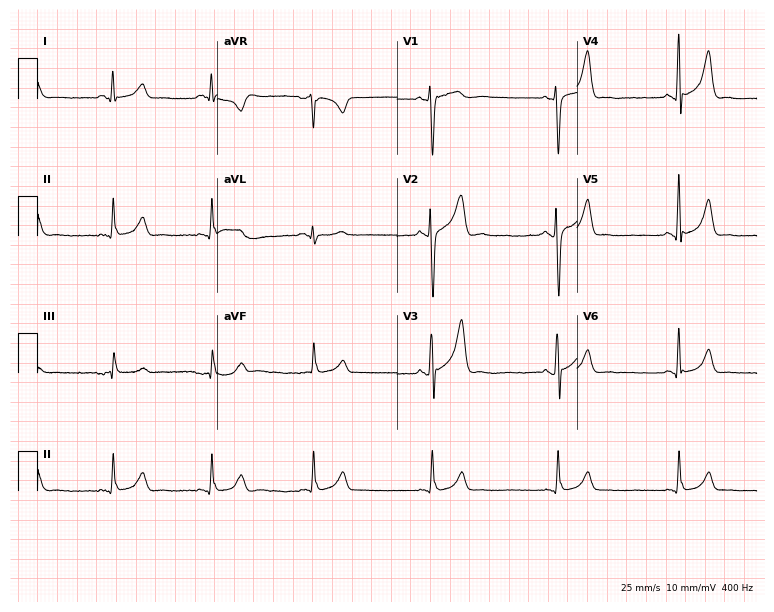
Standard 12-lead ECG recorded from a 35-year-old male (7.3-second recording at 400 Hz). Read as a normal ECG.